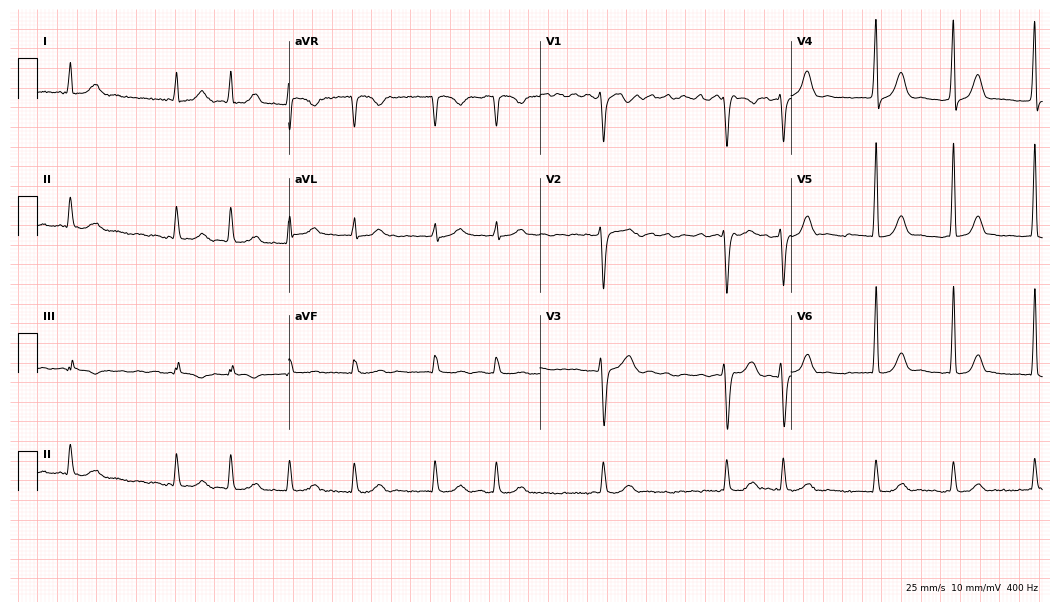
12-lead ECG from a male patient, 67 years old. Screened for six findings — first-degree AV block, right bundle branch block (RBBB), left bundle branch block (LBBB), sinus bradycardia, atrial fibrillation (AF), sinus tachycardia — none is recorded.